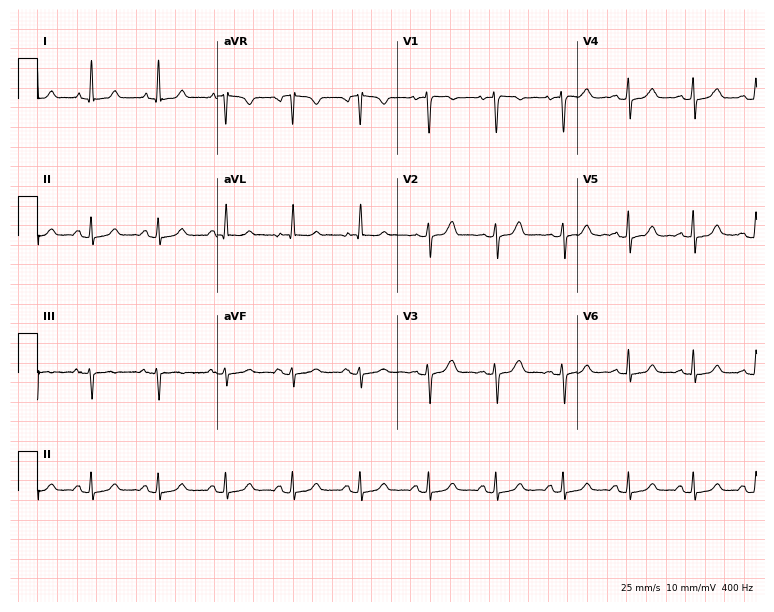
Standard 12-lead ECG recorded from a woman, 42 years old. Read as a normal ECG.